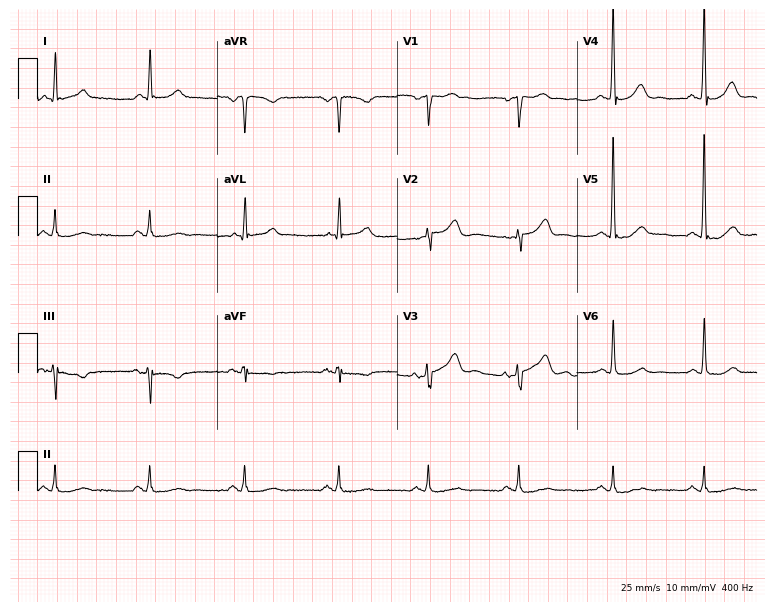
Electrocardiogram (7.3-second recording at 400 Hz), a male patient, 61 years old. Of the six screened findings (first-degree AV block, right bundle branch block (RBBB), left bundle branch block (LBBB), sinus bradycardia, atrial fibrillation (AF), sinus tachycardia), none is recorded.